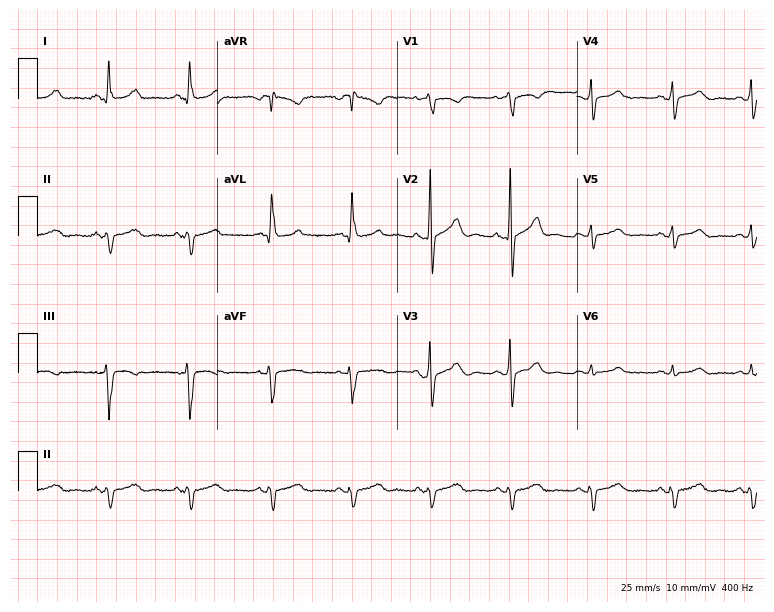
Resting 12-lead electrocardiogram. Patient: a 51-year-old man. None of these six findings is recorded: first-degree AV block, right bundle branch block (RBBB), left bundle branch block (LBBB), sinus bradycardia, atrial fibrillation (AF), sinus tachycardia.